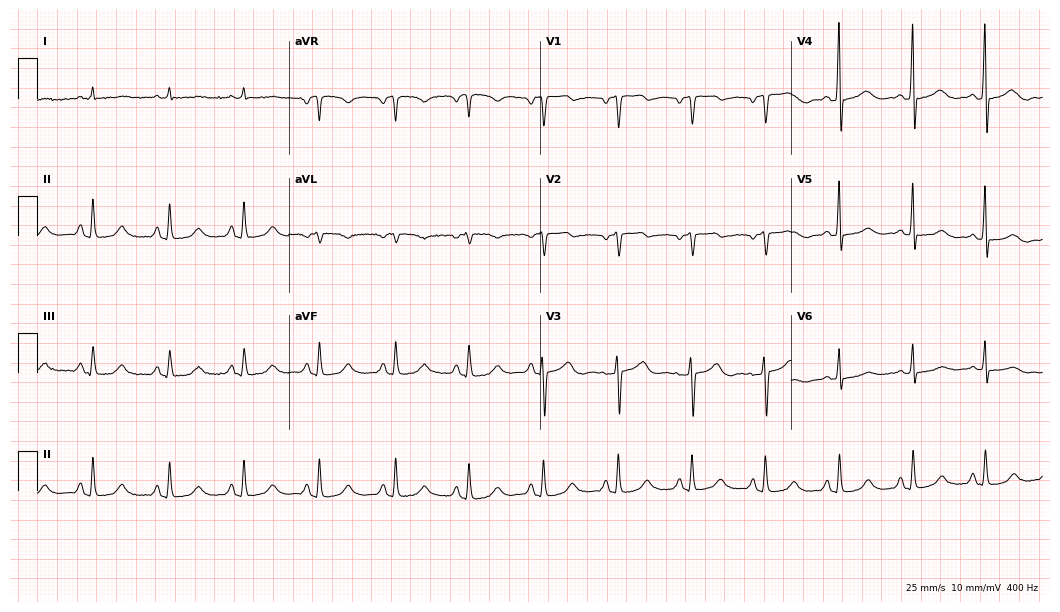
Electrocardiogram, a 73-year-old man. Overall reading on record: normal ECG.